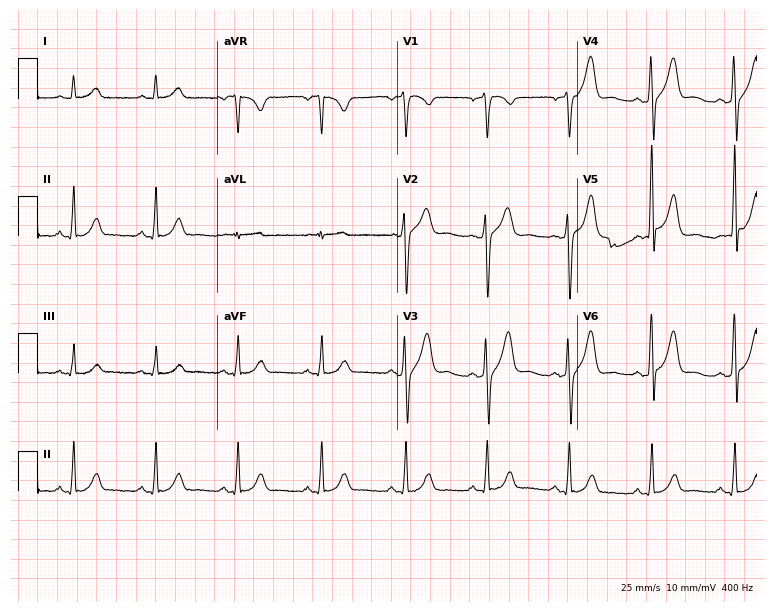
Resting 12-lead electrocardiogram. Patient: a female, 35 years old. Read as a normal ECG.